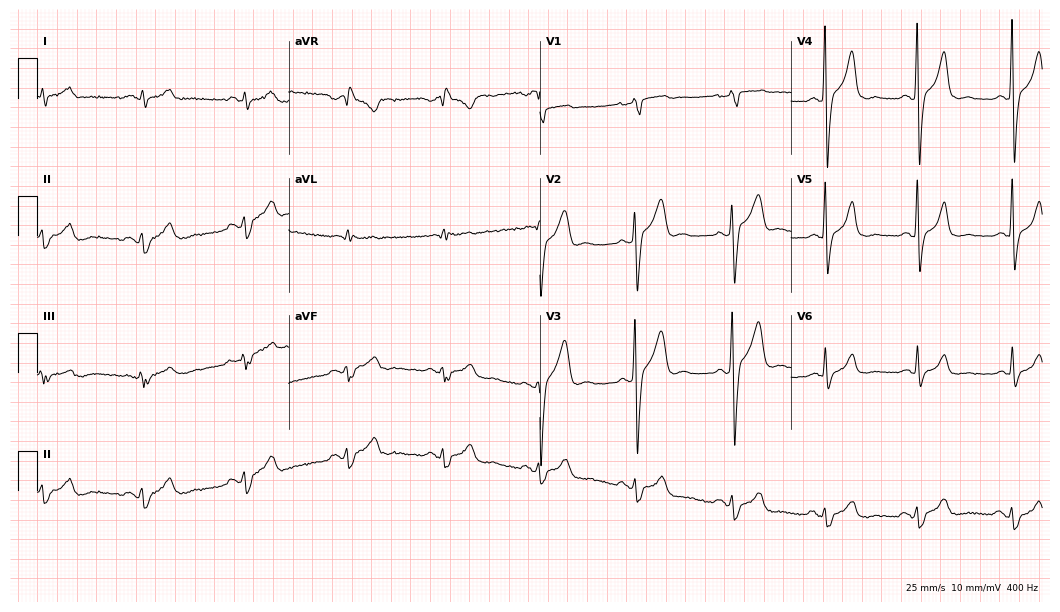
ECG — a man, 38 years old. Screened for six findings — first-degree AV block, right bundle branch block, left bundle branch block, sinus bradycardia, atrial fibrillation, sinus tachycardia — none is recorded. Other findings, if any, are not listed.